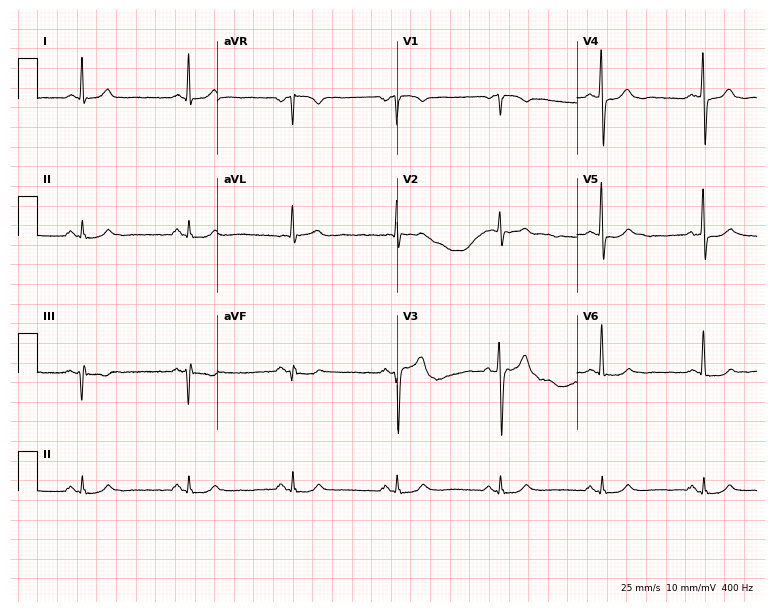
12-lead ECG from a 65-year-old male patient. Recorded interpretation: within normal limits.